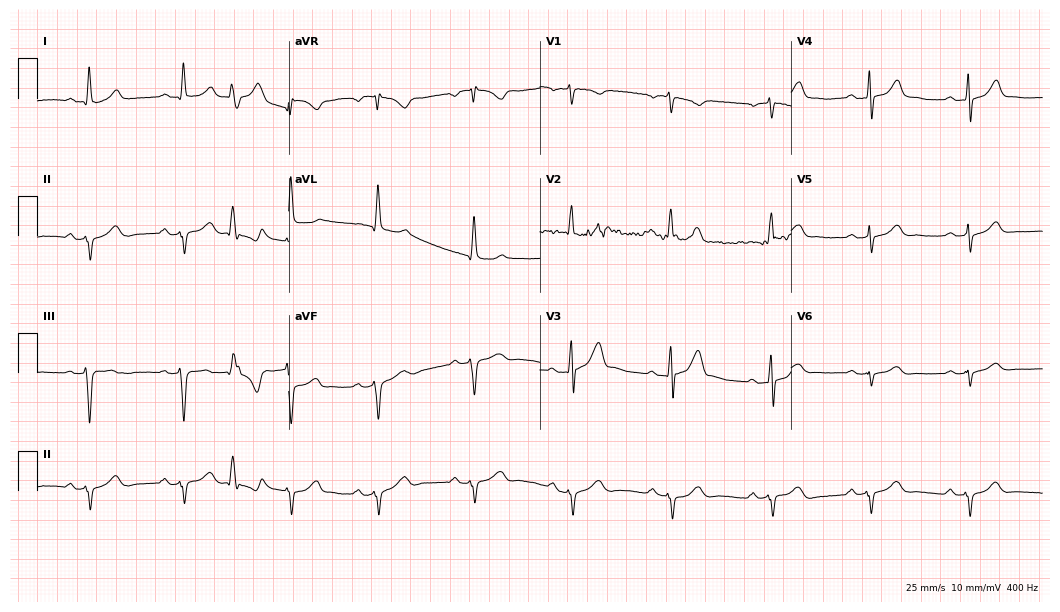
12-lead ECG from a male, 56 years old. Screened for six findings — first-degree AV block, right bundle branch block, left bundle branch block, sinus bradycardia, atrial fibrillation, sinus tachycardia — none is recorded. Only these six findings were labelled.